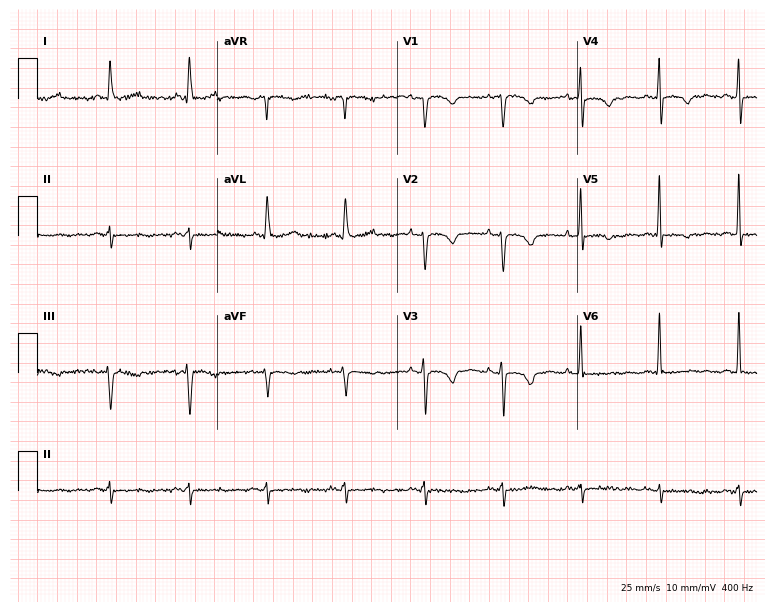
Resting 12-lead electrocardiogram (7.3-second recording at 400 Hz). Patient: an 84-year-old woman. None of these six findings is recorded: first-degree AV block, right bundle branch block, left bundle branch block, sinus bradycardia, atrial fibrillation, sinus tachycardia.